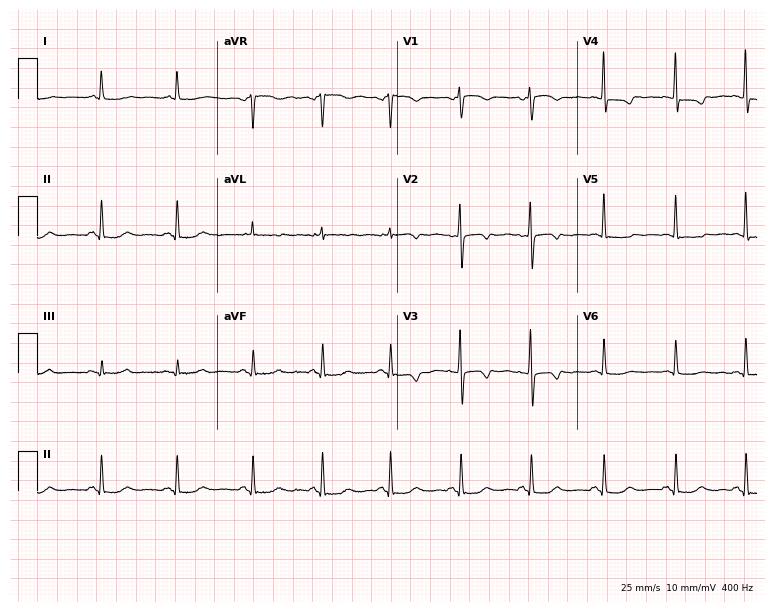
Resting 12-lead electrocardiogram (7.3-second recording at 400 Hz). Patient: a 63-year-old woman. None of these six findings is recorded: first-degree AV block, right bundle branch block, left bundle branch block, sinus bradycardia, atrial fibrillation, sinus tachycardia.